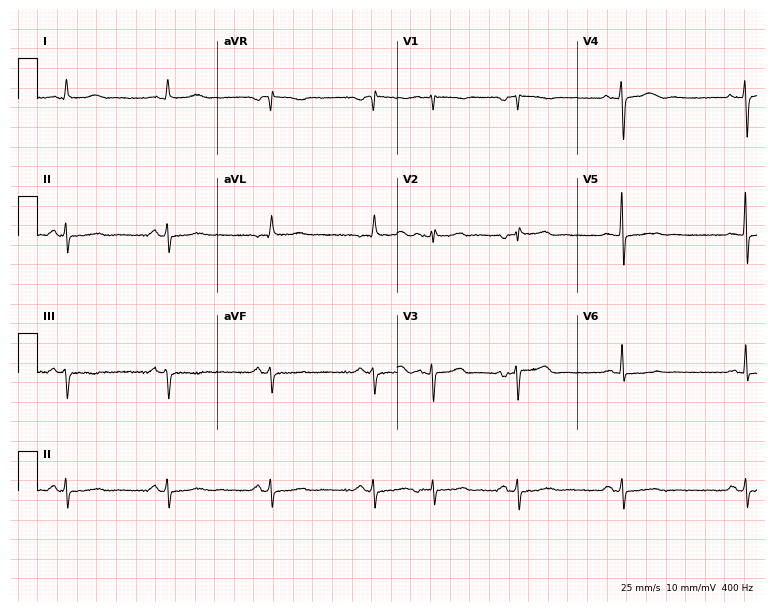
Electrocardiogram (7.3-second recording at 400 Hz), a female patient, 56 years old. Of the six screened findings (first-degree AV block, right bundle branch block, left bundle branch block, sinus bradycardia, atrial fibrillation, sinus tachycardia), none is recorded.